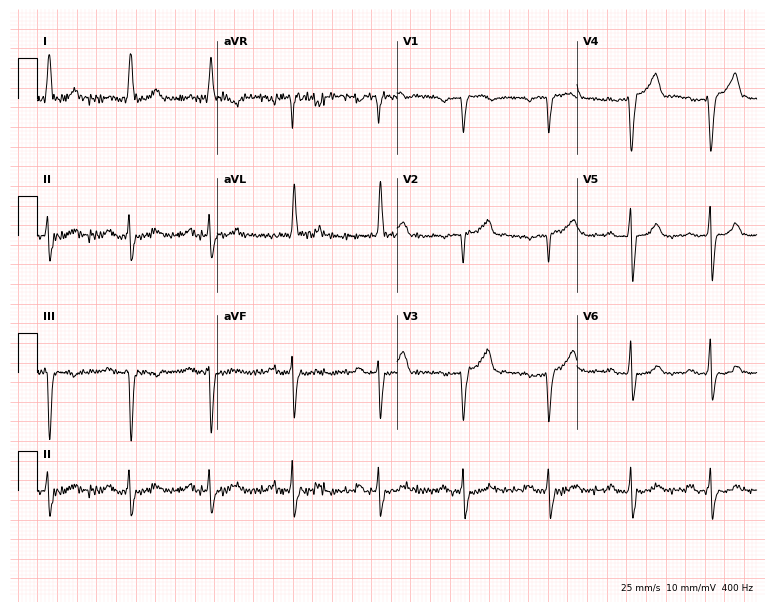
Resting 12-lead electrocardiogram. Patient: a female, 72 years old. None of these six findings is recorded: first-degree AV block, right bundle branch block, left bundle branch block, sinus bradycardia, atrial fibrillation, sinus tachycardia. Other findings, if any, are not listed.